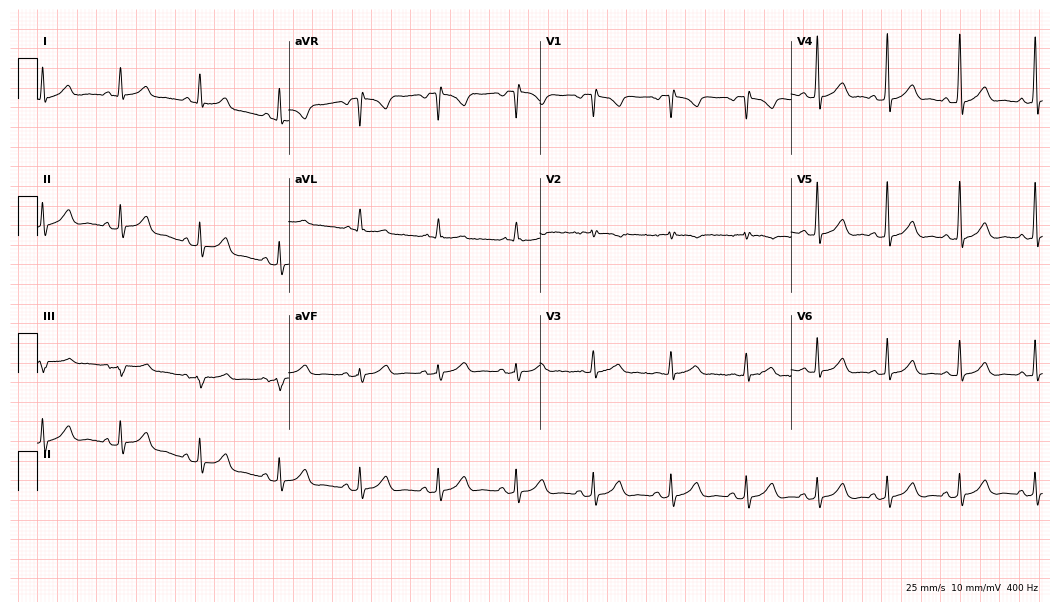
12-lead ECG (10.2-second recording at 400 Hz) from a male patient, 49 years old. Labelled as a normal ECG.